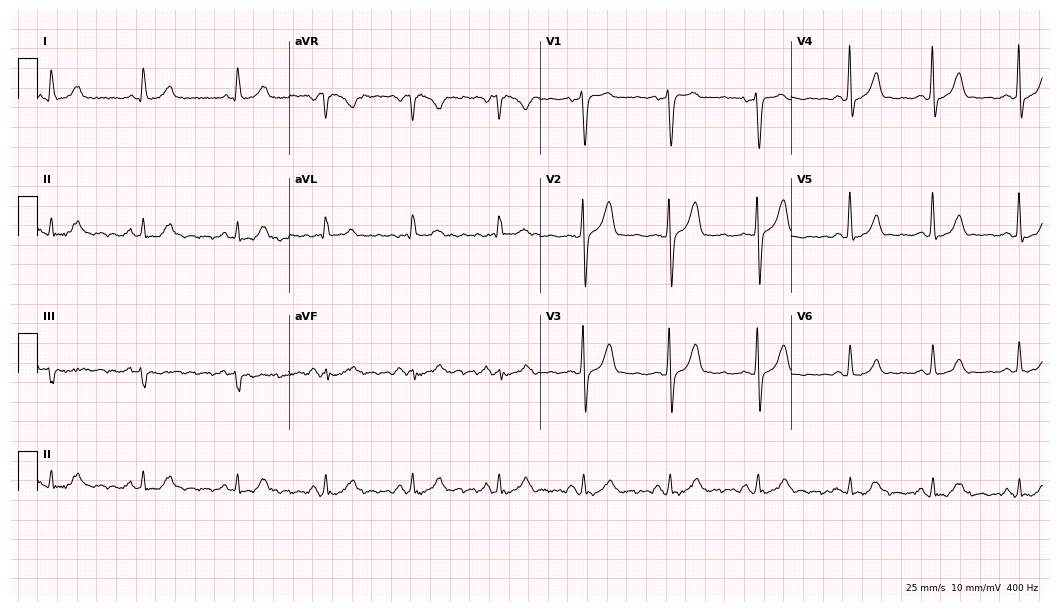
ECG — a 65-year-old female patient. Labelled as a normal ECG.